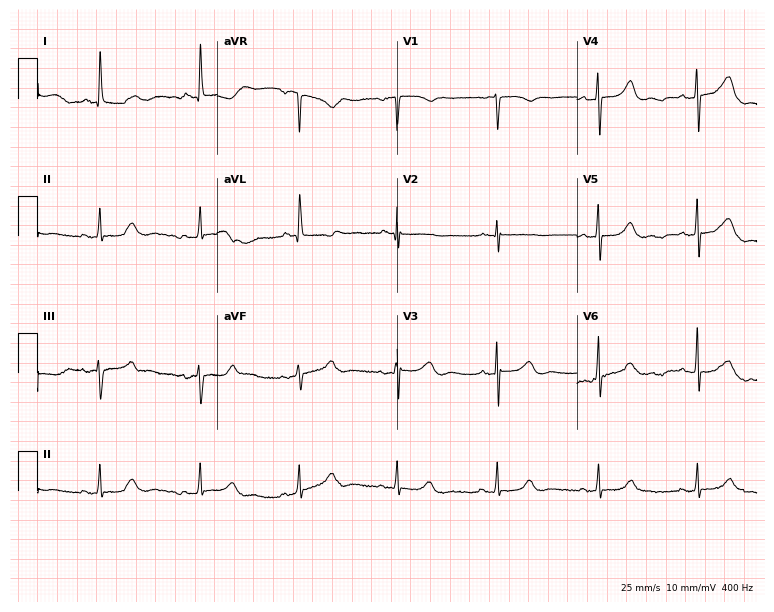
Resting 12-lead electrocardiogram (7.3-second recording at 400 Hz). Patient: a female, 72 years old. Read as a normal ECG.